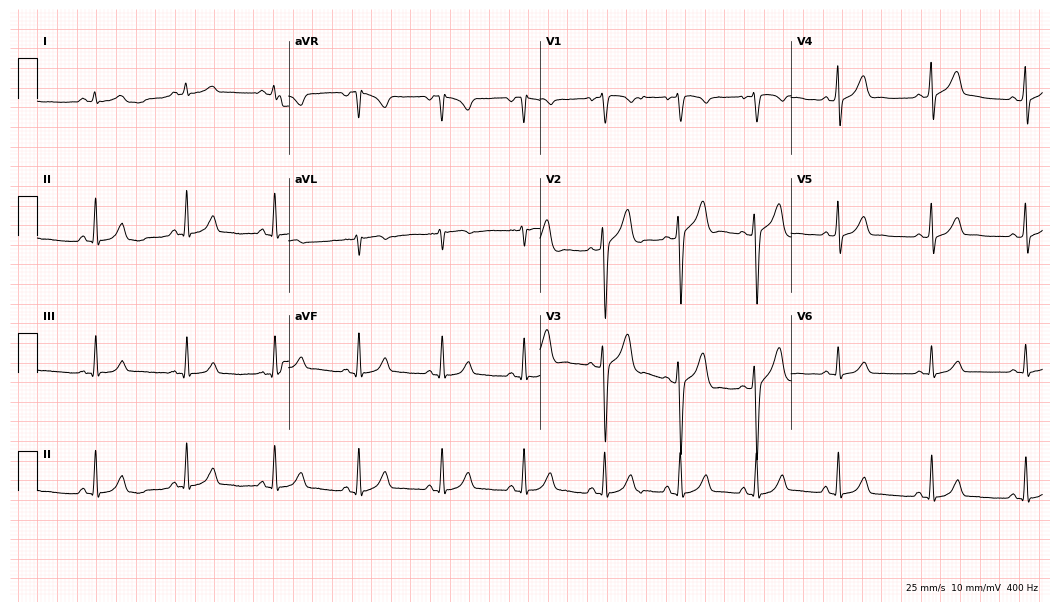
Resting 12-lead electrocardiogram. Patient: a male, 27 years old. None of these six findings is recorded: first-degree AV block, right bundle branch block, left bundle branch block, sinus bradycardia, atrial fibrillation, sinus tachycardia. Only these six findings were labelled.